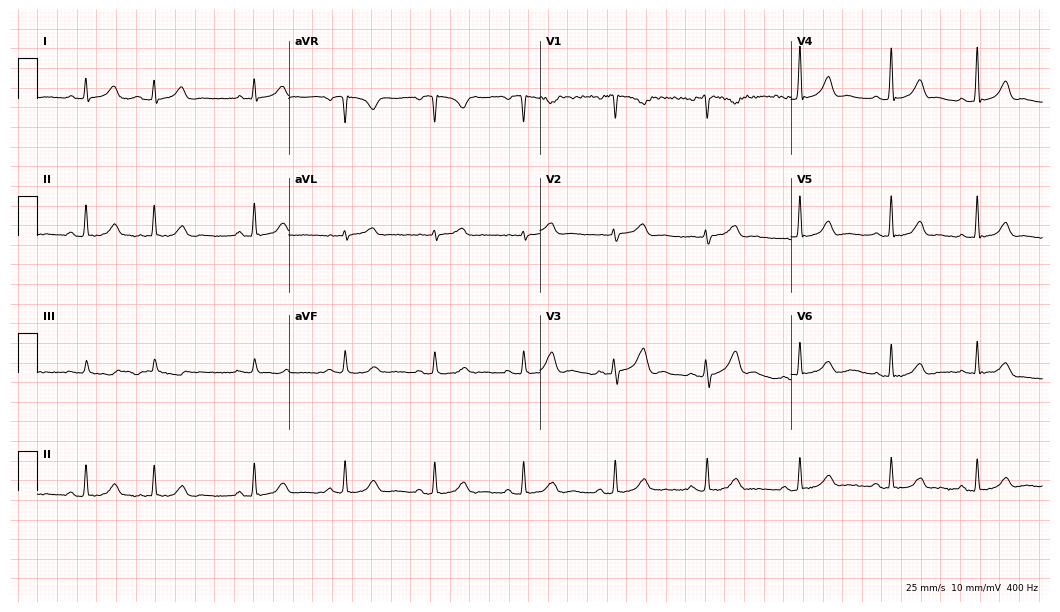
12-lead ECG from a woman, 42 years old (10.2-second recording at 400 Hz). Recorded interpretation: within normal limits.